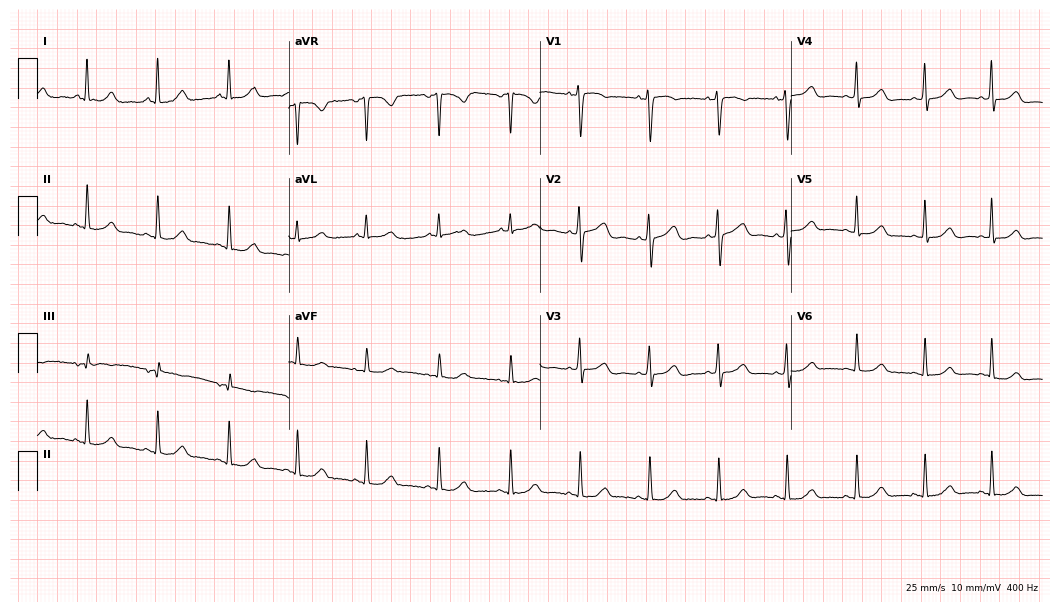
Resting 12-lead electrocardiogram (10.2-second recording at 400 Hz). Patient: a 30-year-old female. Read as a normal ECG.